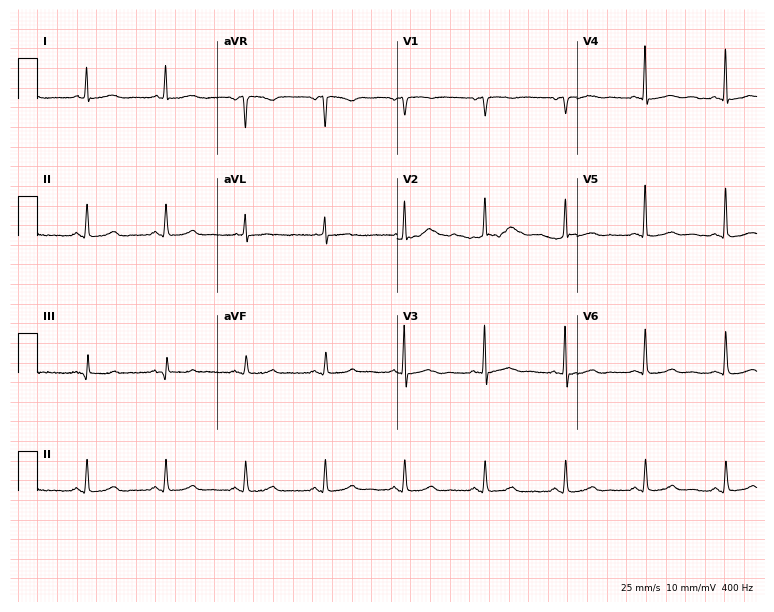
Resting 12-lead electrocardiogram. Patient: a female, 82 years old. None of these six findings is recorded: first-degree AV block, right bundle branch block (RBBB), left bundle branch block (LBBB), sinus bradycardia, atrial fibrillation (AF), sinus tachycardia. Only these six findings were labelled.